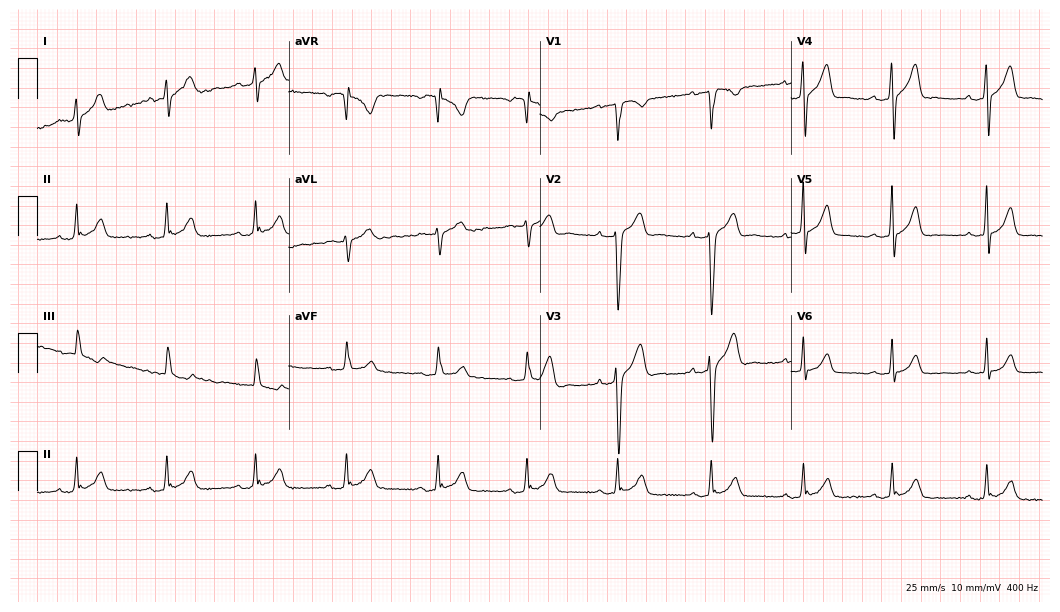
Standard 12-lead ECG recorded from a male patient, 30 years old (10.2-second recording at 400 Hz). Read as a normal ECG.